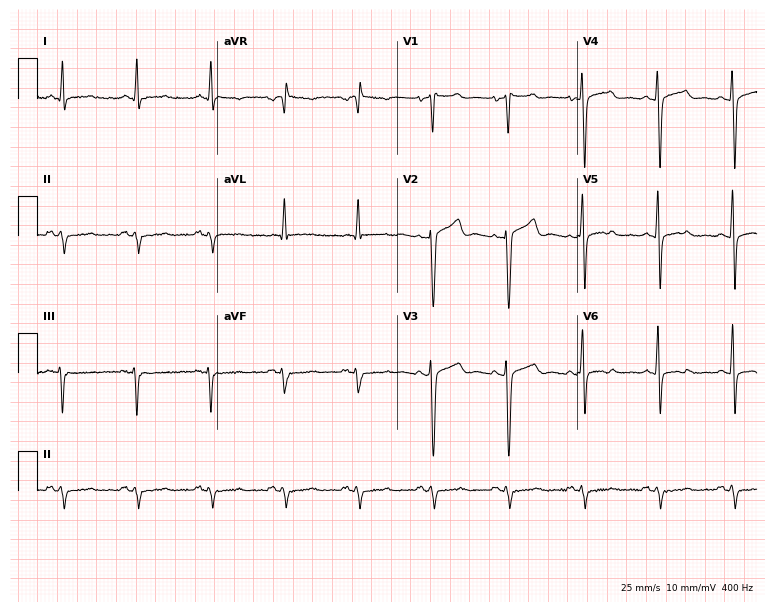
12-lead ECG (7.3-second recording at 400 Hz) from a 51-year-old male. Screened for six findings — first-degree AV block, right bundle branch block, left bundle branch block, sinus bradycardia, atrial fibrillation, sinus tachycardia — none is recorded.